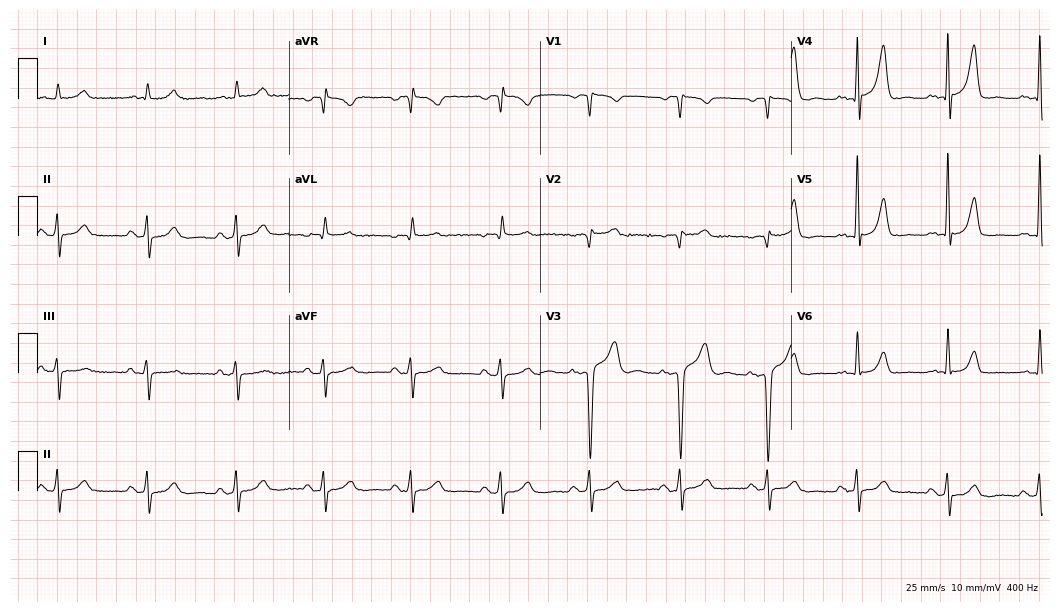
12-lead ECG (10.2-second recording at 400 Hz) from a 62-year-old male patient. Screened for six findings — first-degree AV block, right bundle branch block, left bundle branch block, sinus bradycardia, atrial fibrillation, sinus tachycardia — none is recorded.